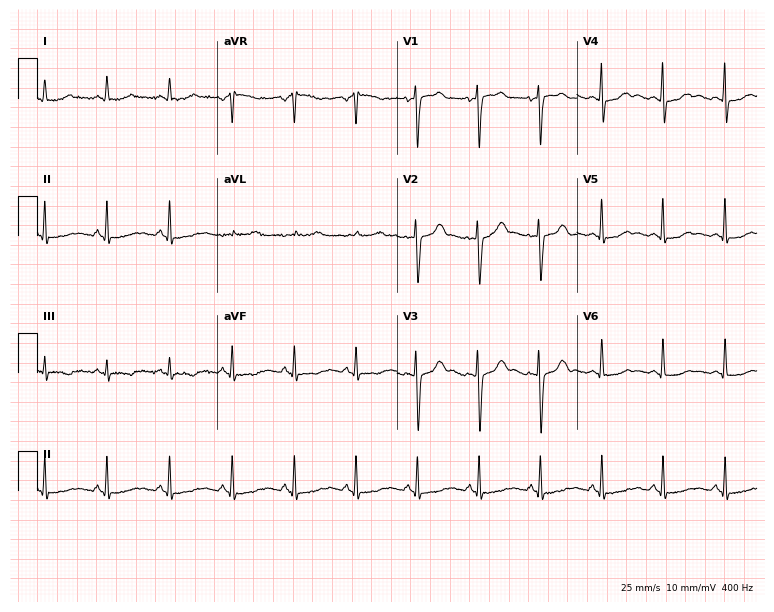
Standard 12-lead ECG recorded from a 60-year-old female patient. None of these six findings is recorded: first-degree AV block, right bundle branch block, left bundle branch block, sinus bradycardia, atrial fibrillation, sinus tachycardia.